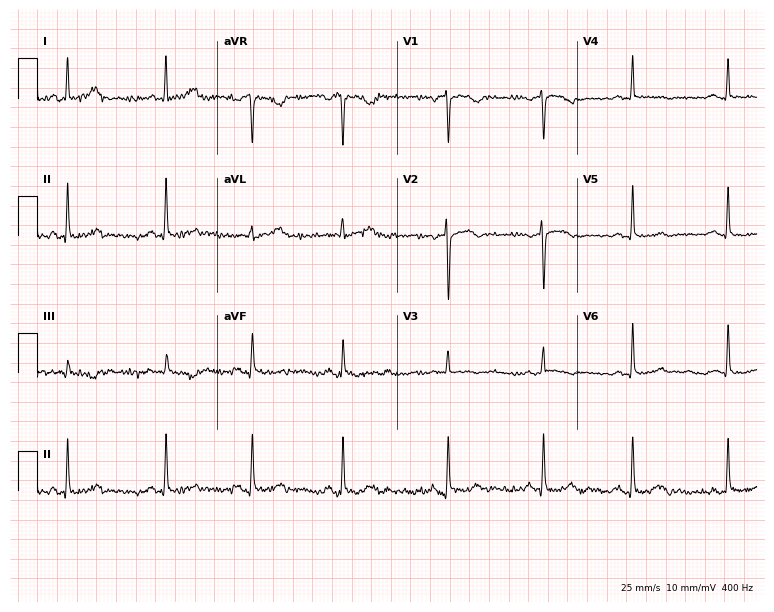
12-lead ECG (7.3-second recording at 400 Hz) from a 32-year-old female patient. Screened for six findings — first-degree AV block, right bundle branch block, left bundle branch block, sinus bradycardia, atrial fibrillation, sinus tachycardia — none is recorded.